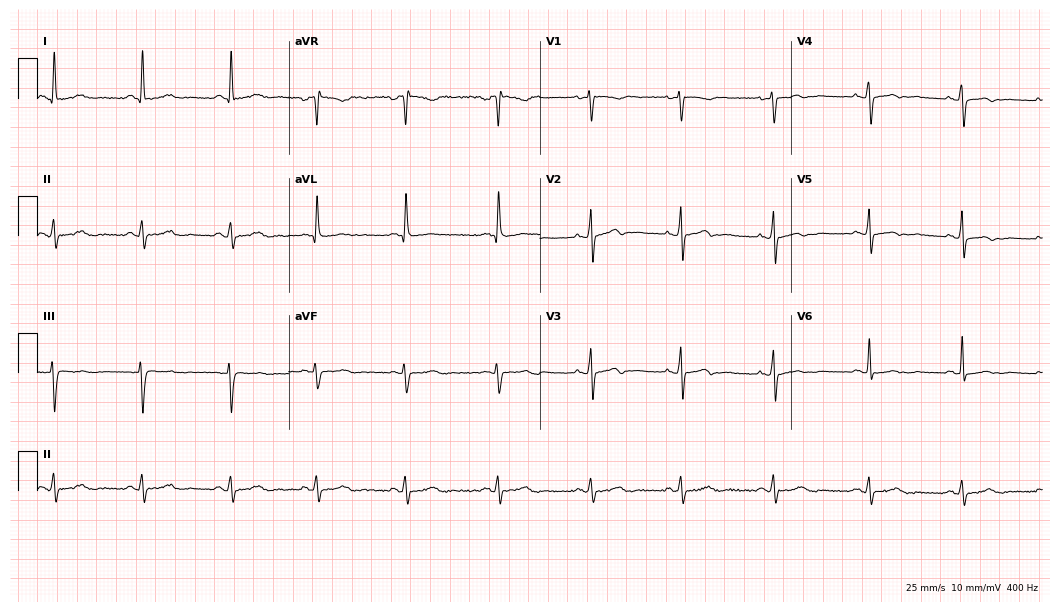
12-lead ECG from a female patient, 52 years old. No first-degree AV block, right bundle branch block (RBBB), left bundle branch block (LBBB), sinus bradycardia, atrial fibrillation (AF) or sinus tachycardia recorded for this tracing. Only these six findings were labelled.